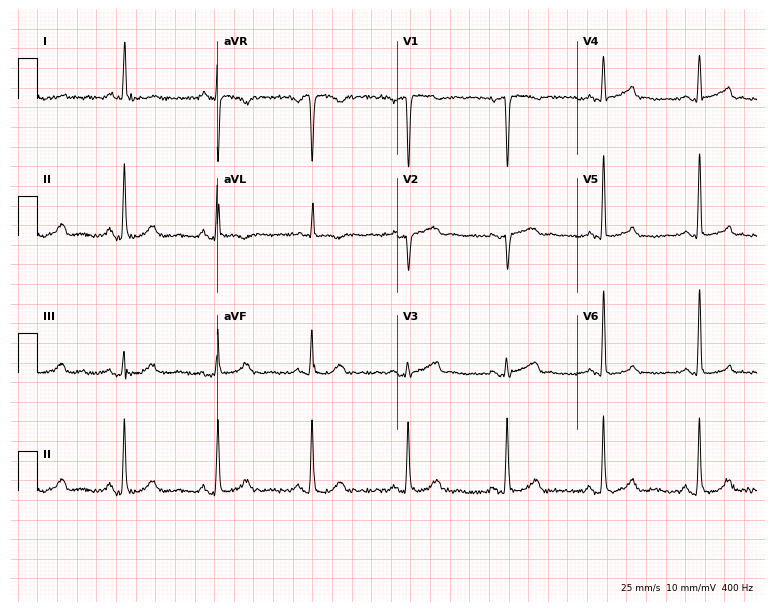
12-lead ECG from a 71-year-old female (7.3-second recording at 400 Hz). No first-degree AV block, right bundle branch block, left bundle branch block, sinus bradycardia, atrial fibrillation or sinus tachycardia recorded for this tracing. Findings outside these six are not listed.